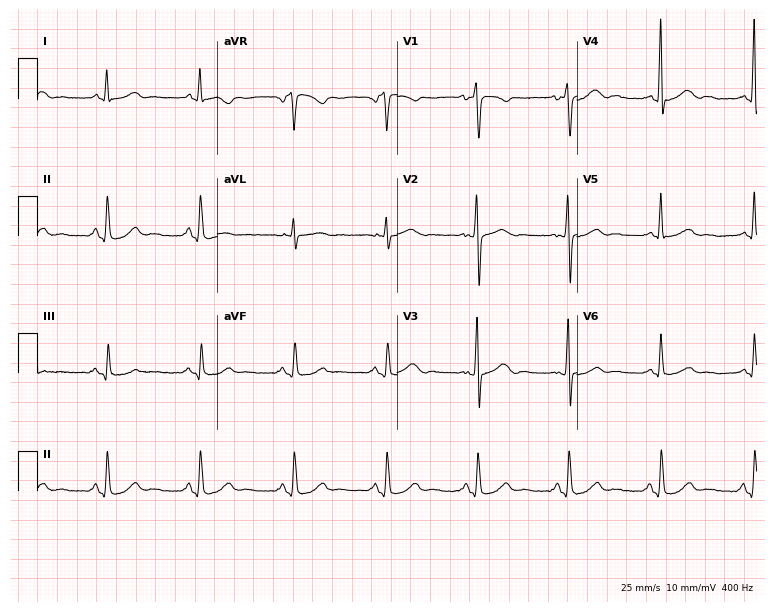
Standard 12-lead ECG recorded from a female, 56 years old. Read as a normal ECG.